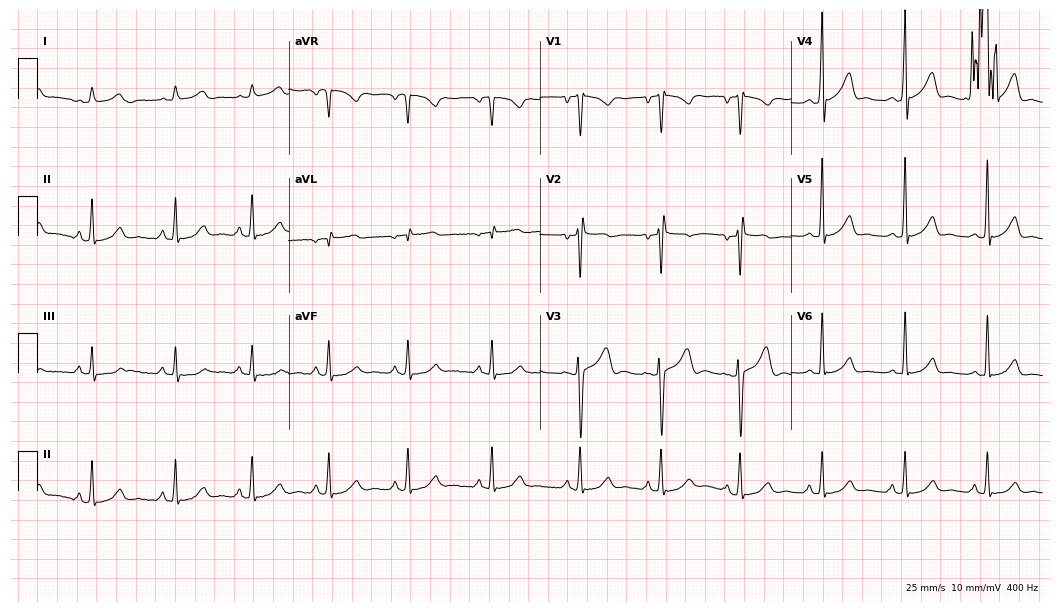
Resting 12-lead electrocardiogram (10.2-second recording at 400 Hz). Patient: a man, 18 years old. None of these six findings is recorded: first-degree AV block, right bundle branch block (RBBB), left bundle branch block (LBBB), sinus bradycardia, atrial fibrillation (AF), sinus tachycardia.